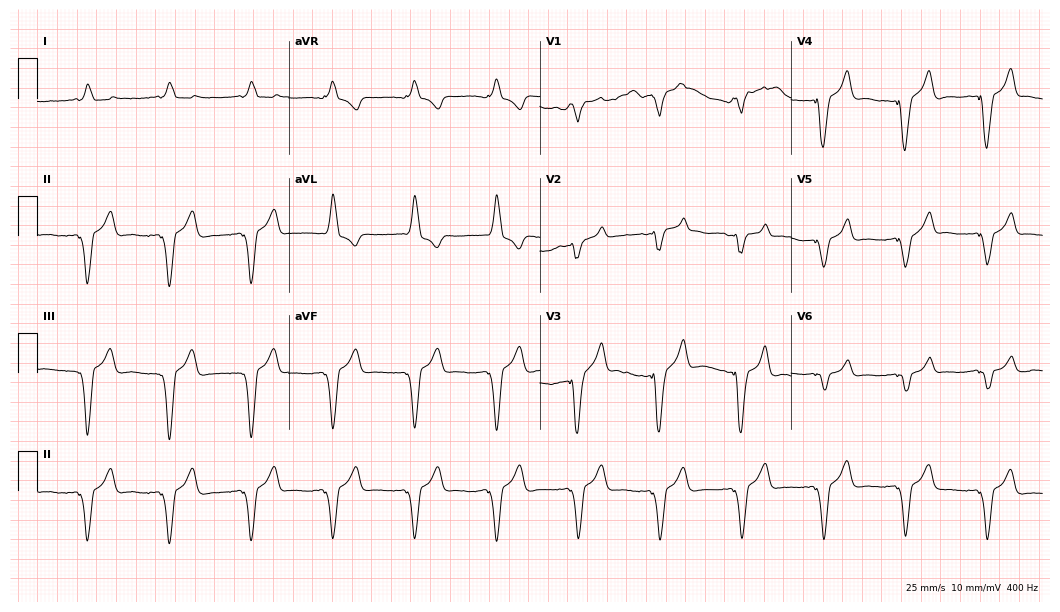
Electrocardiogram, a 59-year-old male patient. Of the six screened findings (first-degree AV block, right bundle branch block, left bundle branch block, sinus bradycardia, atrial fibrillation, sinus tachycardia), none is recorded. Findings outside these six are not listed.